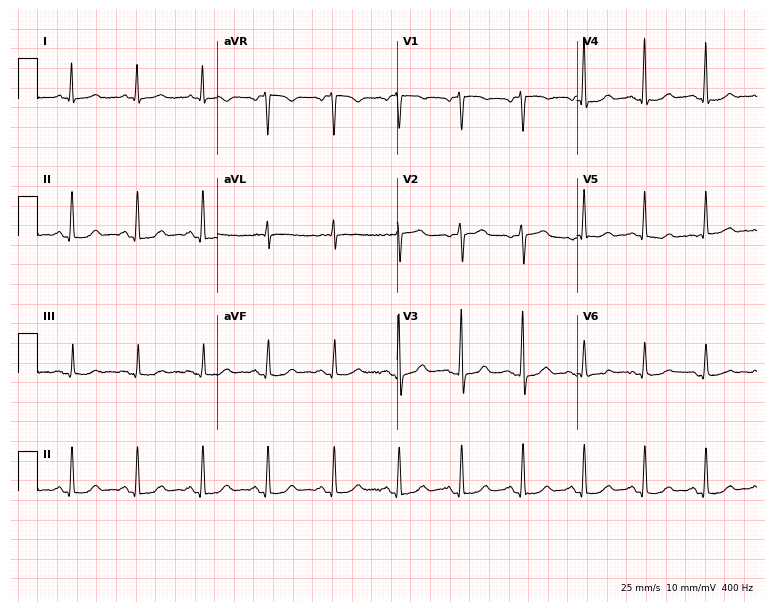
Standard 12-lead ECG recorded from a female, 56 years old (7.3-second recording at 400 Hz). Read as a normal ECG.